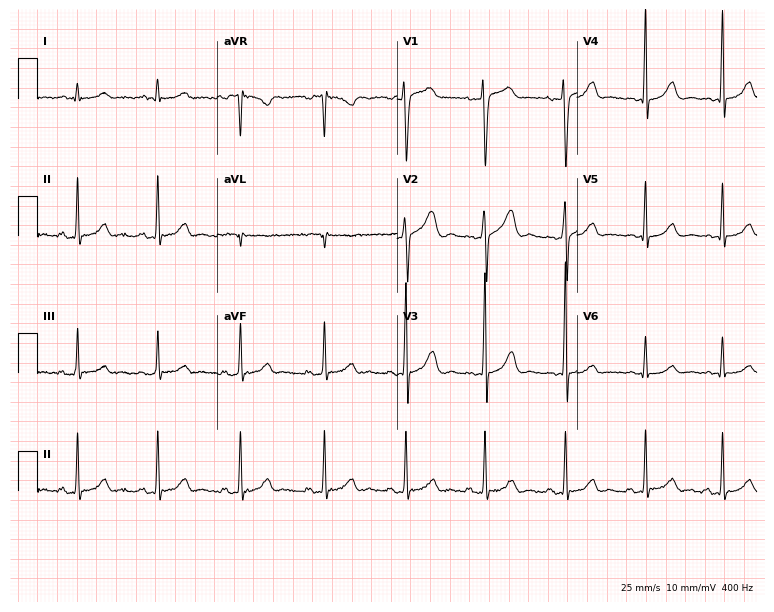
Electrocardiogram (7.3-second recording at 400 Hz), a 29-year-old male patient. Of the six screened findings (first-degree AV block, right bundle branch block, left bundle branch block, sinus bradycardia, atrial fibrillation, sinus tachycardia), none is recorded. Other findings, if any, are not listed.